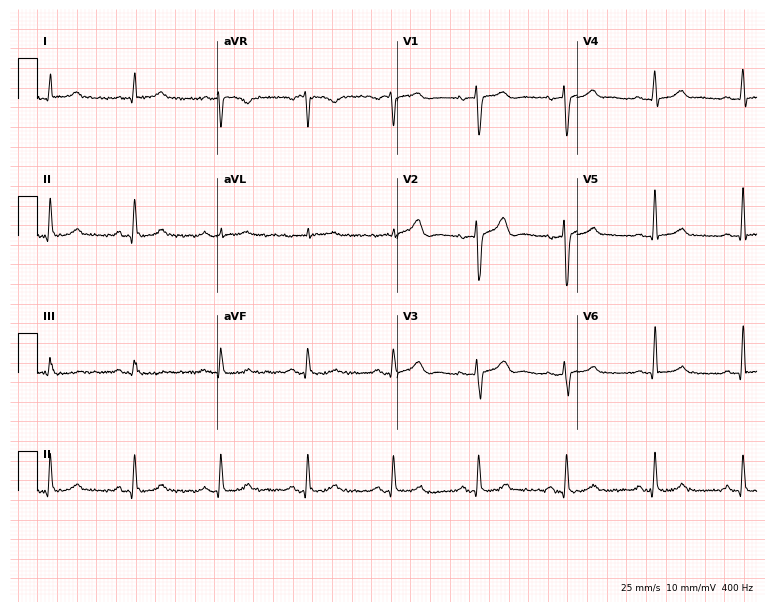
Resting 12-lead electrocardiogram (7.3-second recording at 400 Hz). Patient: a male, 33 years old. None of these six findings is recorded: first-degree AV block, right bundle branch block, left bundle branch block, sinus bradycardia, atrial fibrillation, sinus tachycardia.